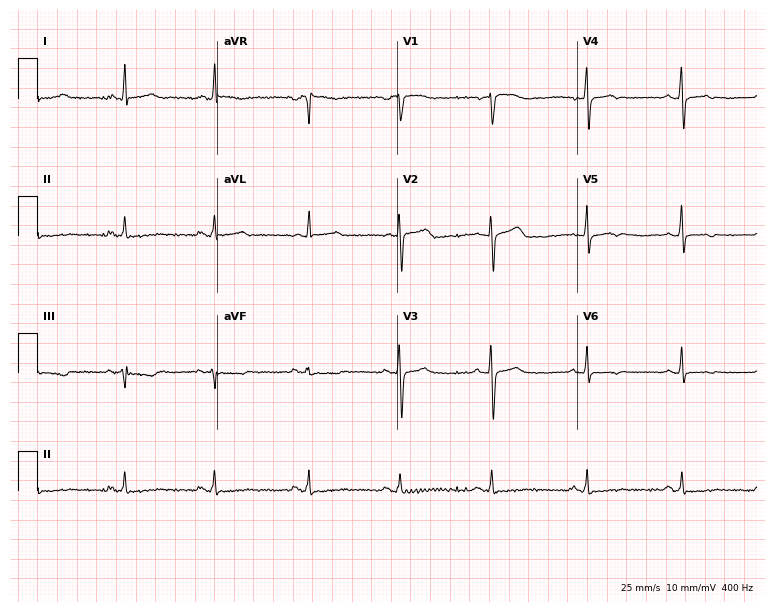
12-lead ECG from a female patient, 57 years old. Screened for six findings — first-degree AV block, right bundle branch block, left bundle branch block, sinus bradycardia, atrial fibrillation, sinus tachycardia — none is recorded. Only these six findings were labelled.